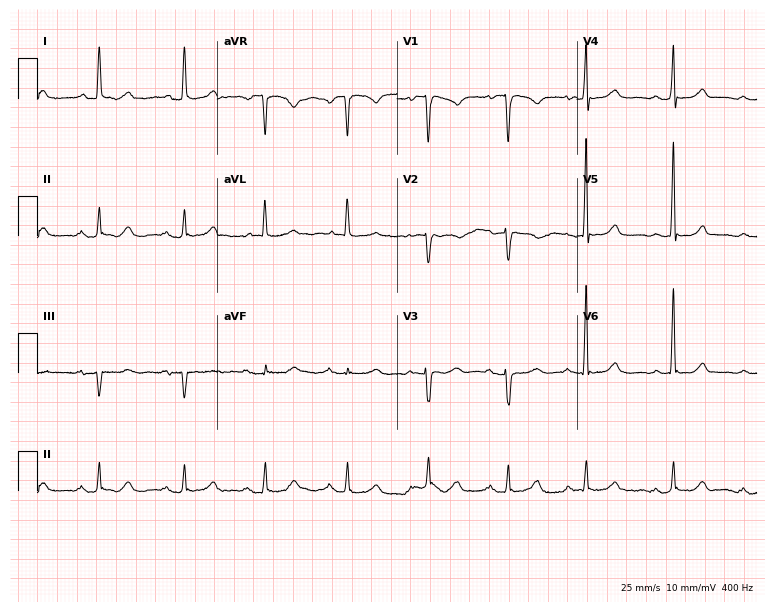
12-lead ECG from a 77-year-old woman. Recorded interpretation: within normal limits.